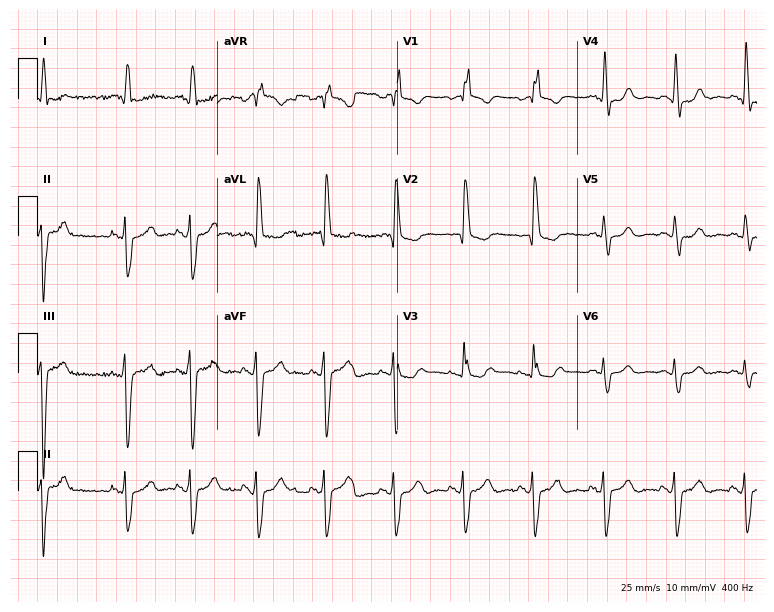
ECG — a 74-year-old woman. Findings include right bundle branch block.